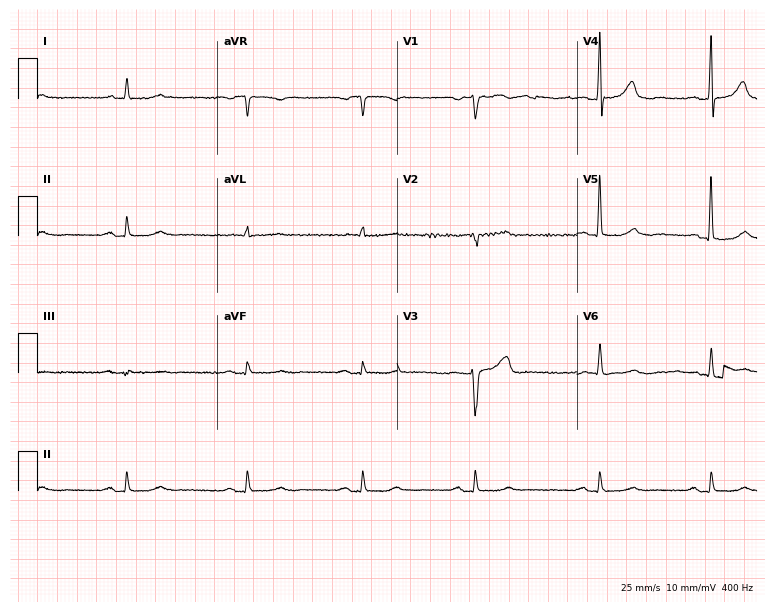
Resting 12-lead electrocardiogram. Patient: a male, 73 years old. The tracing shows sinus bradycardia (a sinus rate of 50 beats per minute or less).